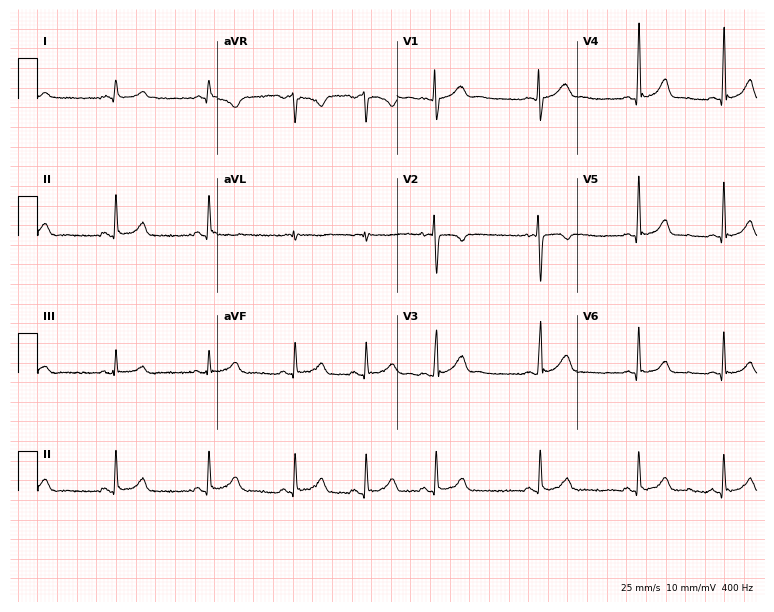
ECG (7.3-second recording at 400 Hz) — a 19-year-old woman. Screened for six findings — first-degree AV block, right bundle branch block (RBBB), left bundle branch block (LBBB), sinus bradycardia, atrial fibrillation (AF), sinus tachycardia — none is recorded.